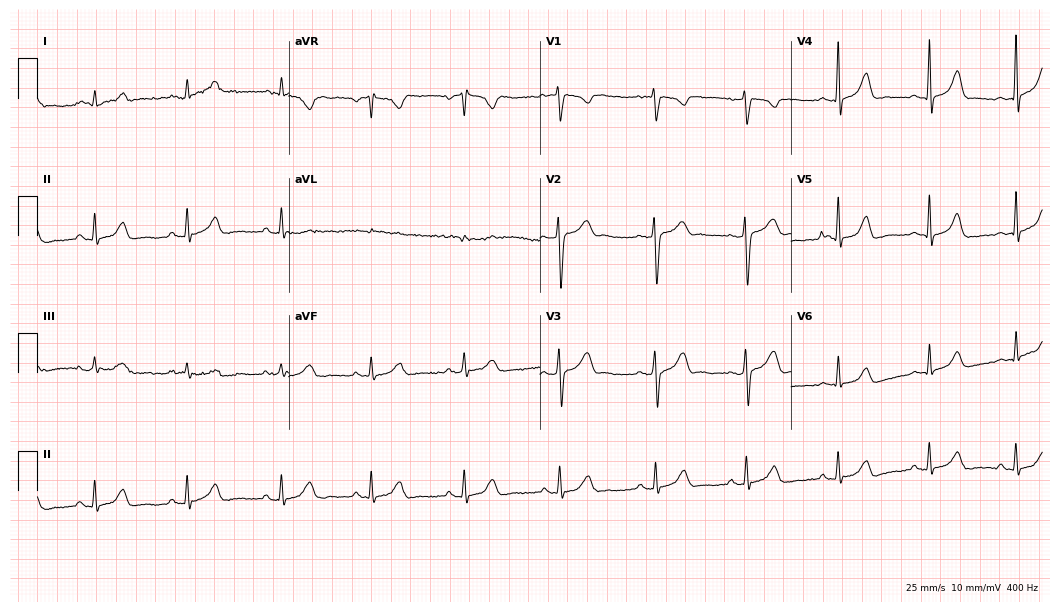
12-lead ECG (10.2-second recording at 400 Hz) from a female patient, 35 years old. Screened for six findings — first-degree AV block, right bundle branch block, left bundle branch block, sinus bradycardia, atrial fibrillation, sinus tachycardia — none is recorded.